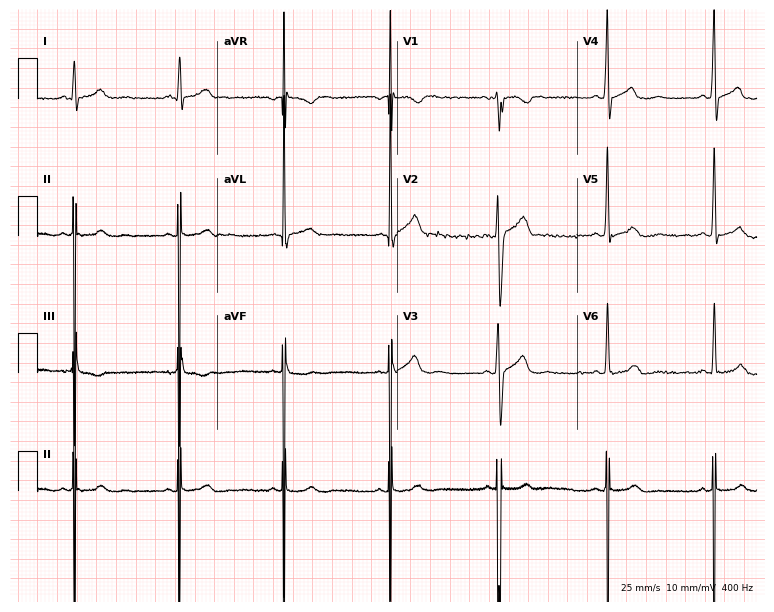
12-lead ECG from a man, 30 years old. Screened for six findings — first-degree AV block, right bundle branch block, left bundle branch block, sinus bradycardia, atrial fibrillation, sinus tachycardia — none is recorded. Findings outside these six are not listed.